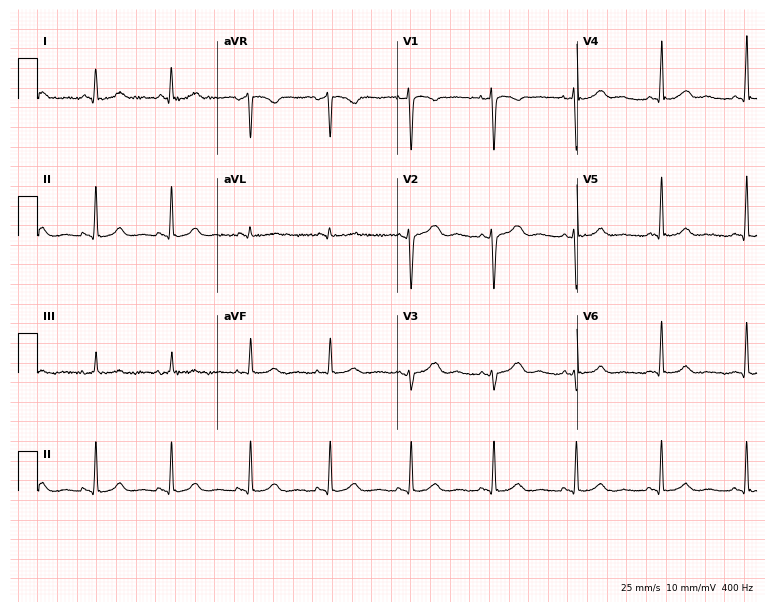
ECG — a female patient, 27 years old. Screened for six findings — first-degree AV block, right bundle branch block, left bundle branch block, sinus bradycardia, atrial fibrillation, sinus tachycardia — none is recorded. Findings outside these six are not listed.